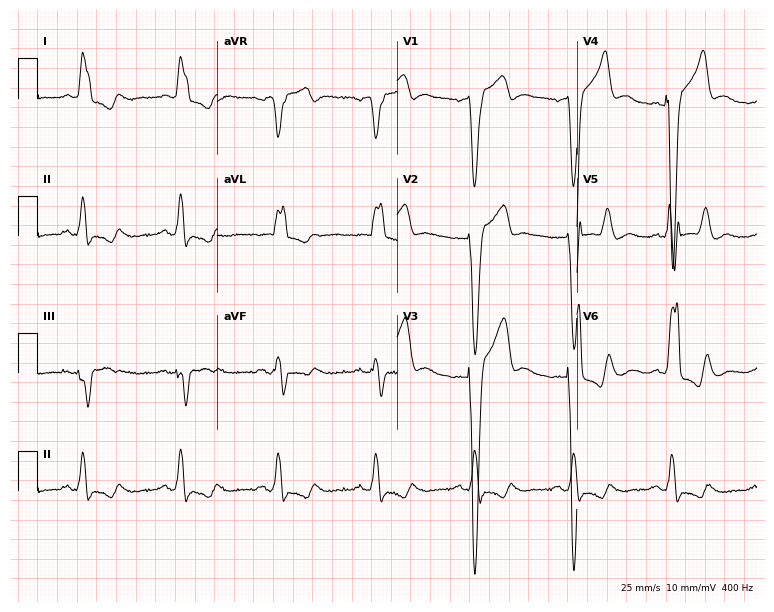
Standard 12-lead ECG recorded from a 77-year-old man. The tracing shows left bundle branch block.